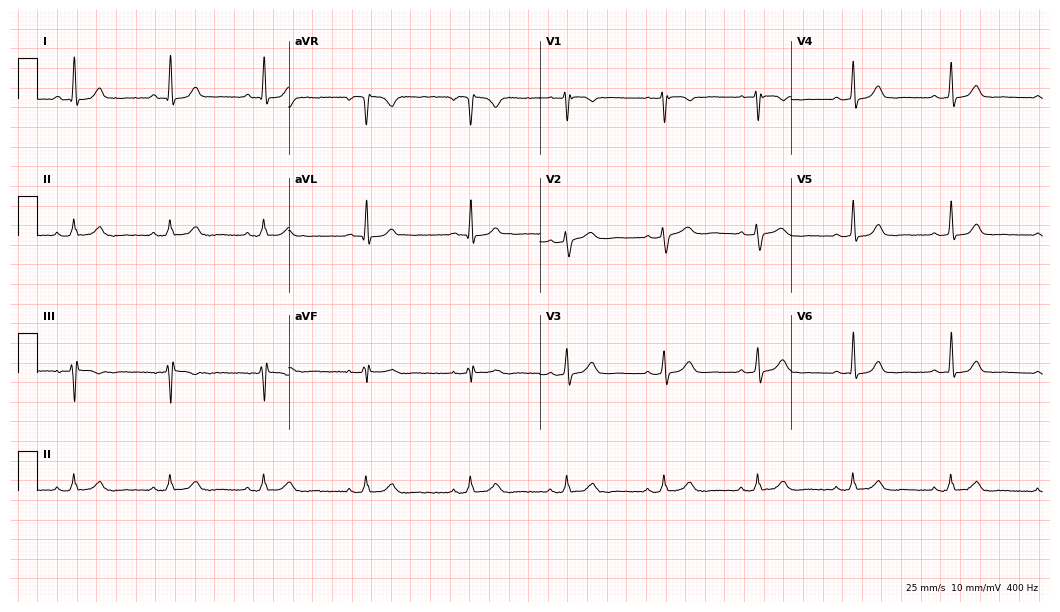
Resting 12-lead electrocardiogram. Patient: a 55-year-old female. Read as a normal ECG.